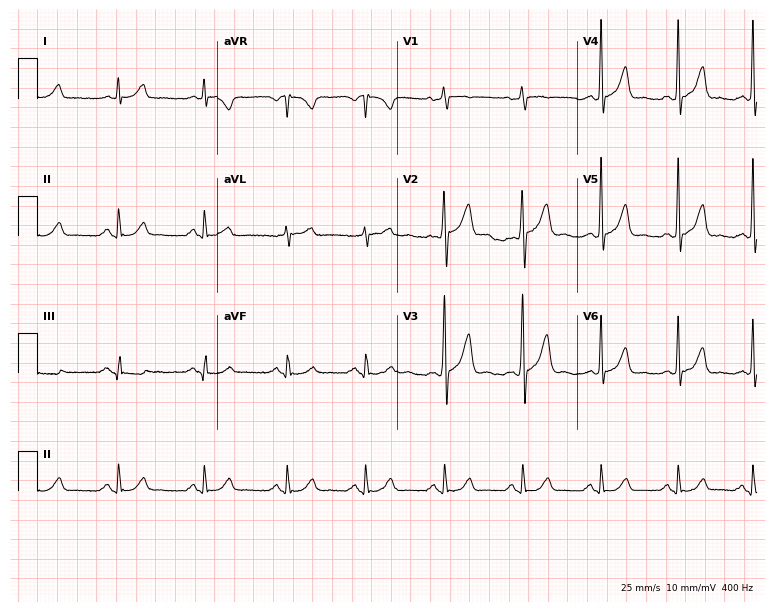
Electrocardiogram (7.3-second recording at 400 Hz), a 53-year-old male patient. Overall reading on record: normal ECG.